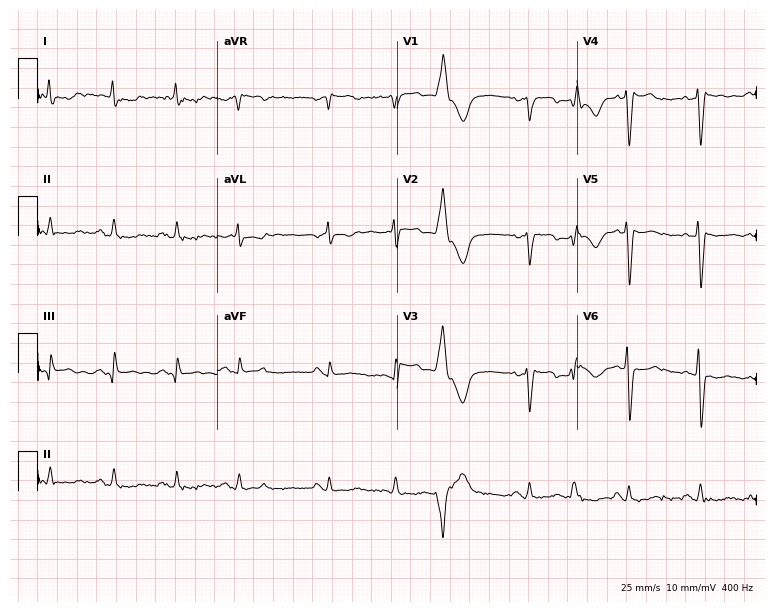
Resting 12-lead electrocardiogram (7.3-second recording at 400 Hz). Patient: a 77-year-old man. None of these six findings is recorded: first-degree AV block, right bundle branch block, left bundle branch block, sinus bradycardia, atrial fibrillation, sinus tachycardia.